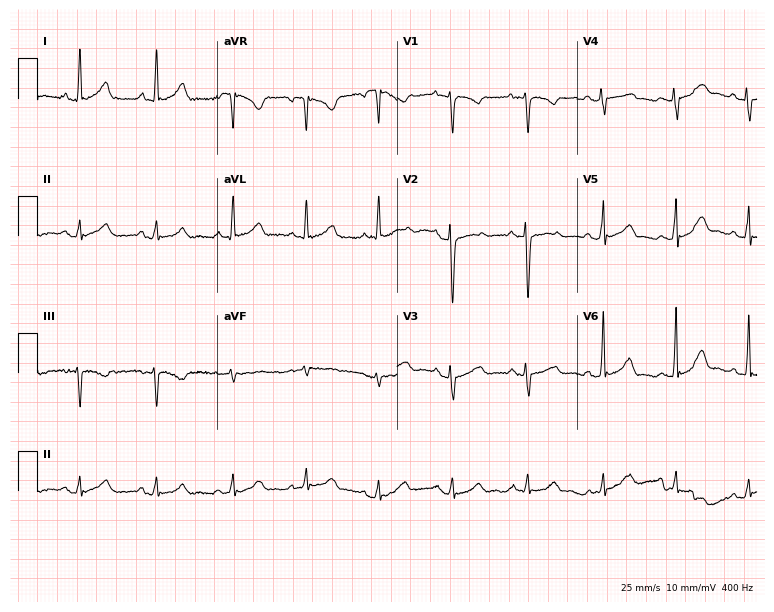
12-lead ECG from a woman, 27 years old. Labelled as a normal ECG.